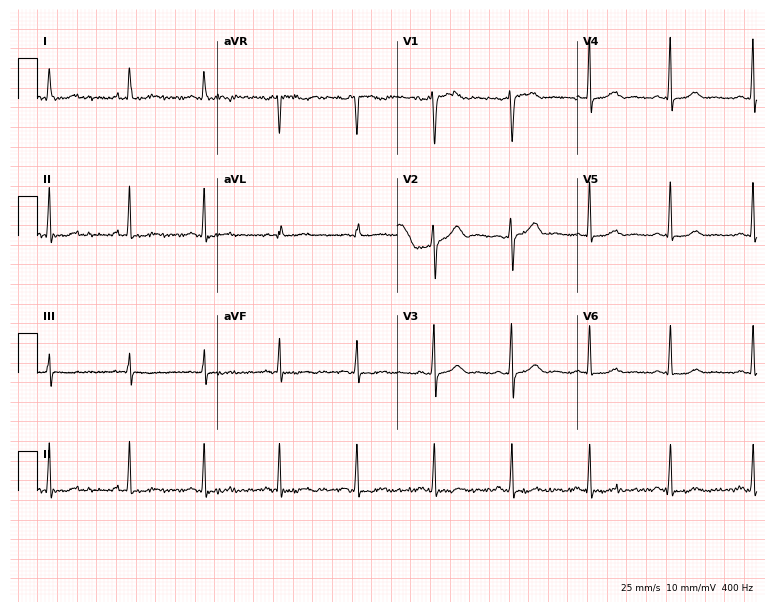
Electrocardiogram (7.3-second recording at 400 Hz), a woman, 44 years old. Overall reading on record: normal ECG.